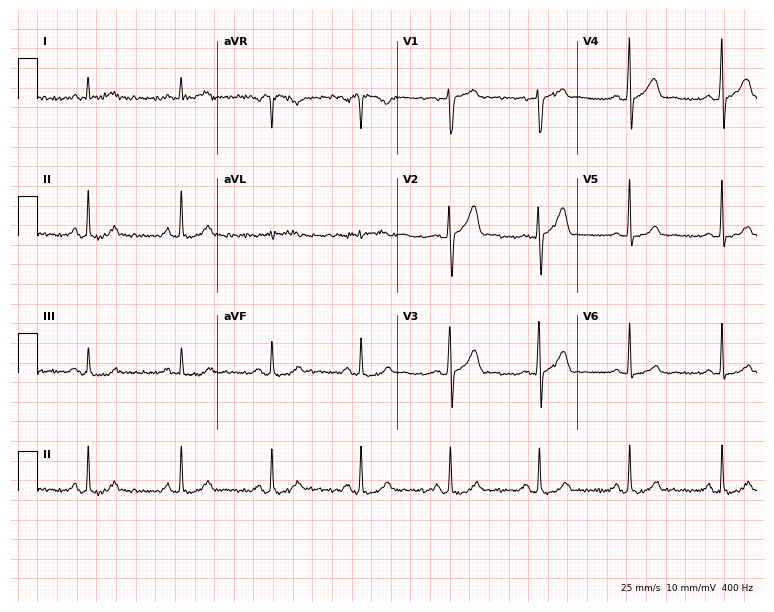
Electrocardiogram, a male patient, 33 years old. Of the six screened findings (first-degree AV block, right bundle branch block, left bundle branch block, sinus bradycardia, atrial fibrillation, sinus tachycardia), none is recorded.